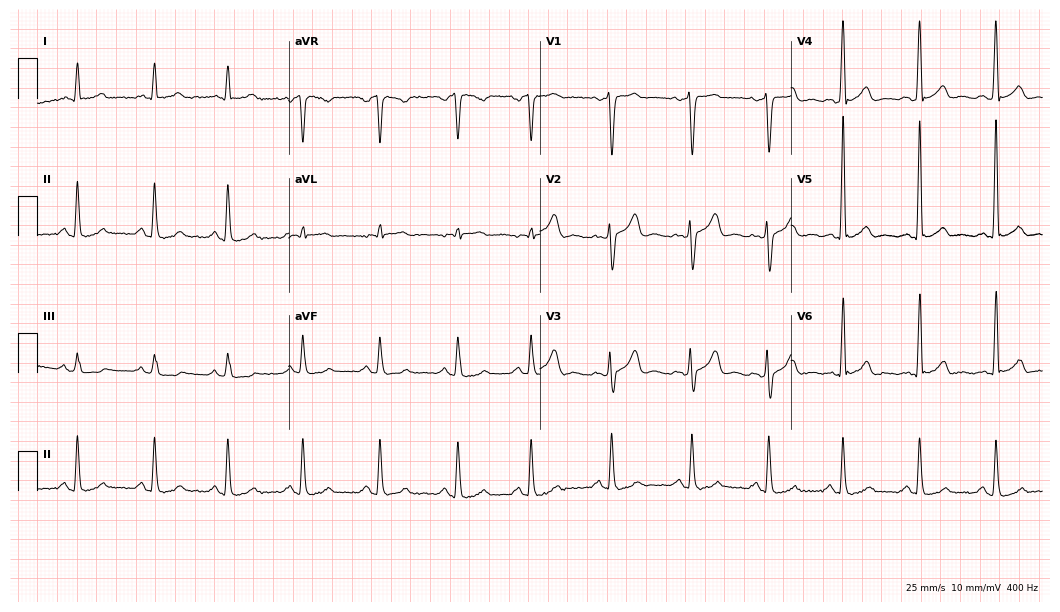
Resting 12-lead electrocardiogram. Patient: a male, 56 years old. Read as a normal ECG.